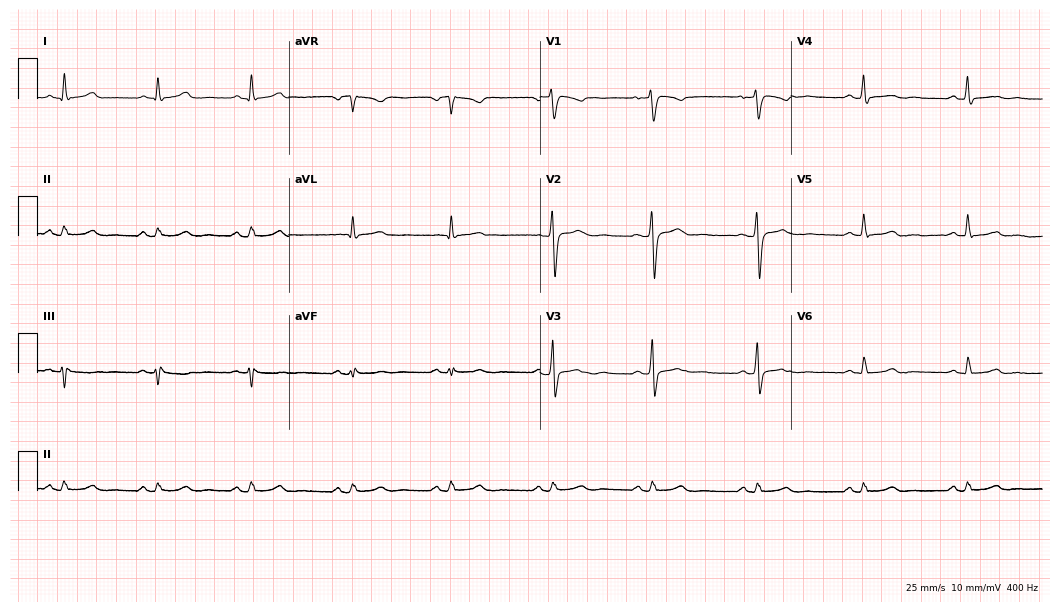
ECG — a 36-year-old male patient. Labelled as a normal ECG.